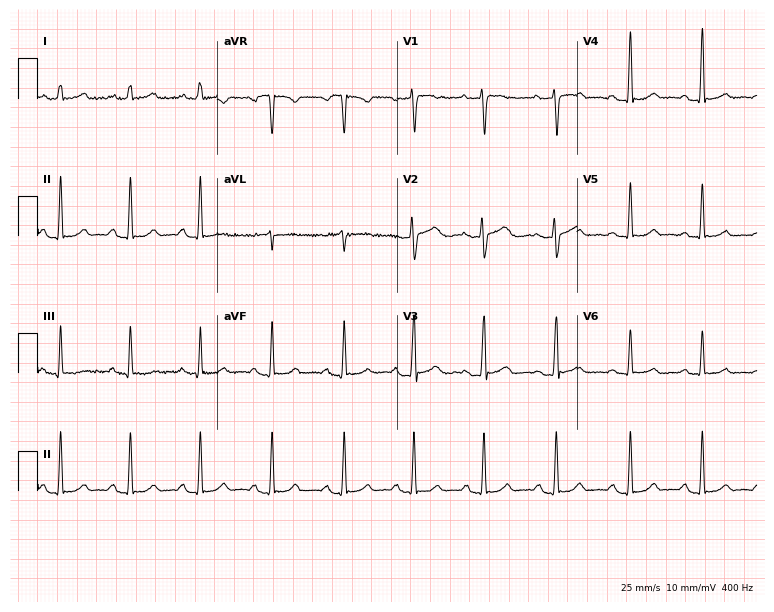
12-lead ECG (7.3-second recording at 400 Hz) from a female, 42 years old. Screened for six findings — first-degree AV block, right bundle branch block (RBBB), left bundle branch block (LBBB), sinus bradycardia, atrial fibrillation (AF), sinus tachycardia — none is recorded. Findings outside these six are not listed.